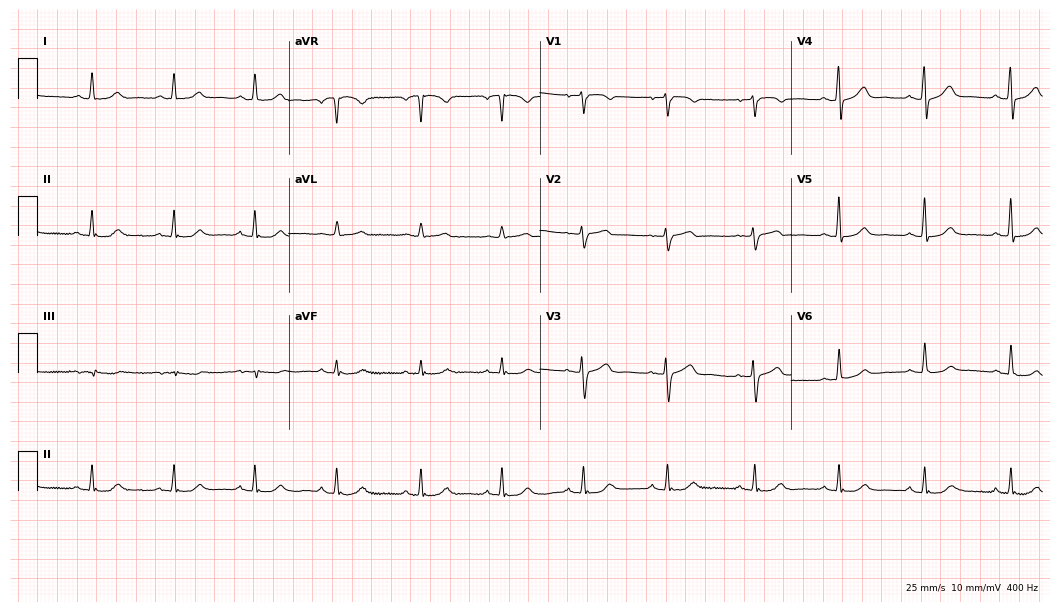
Standard 12-lead ECG recorded from a woman, 67 years old. Read as a normal ECG.